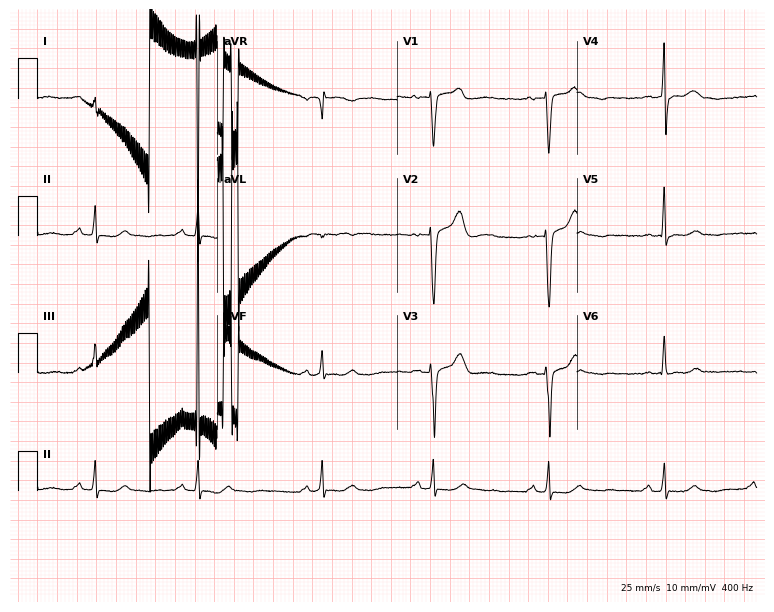
Electrocardiogram, a 52-year-old woman. Overall reading on record: normal ECG.